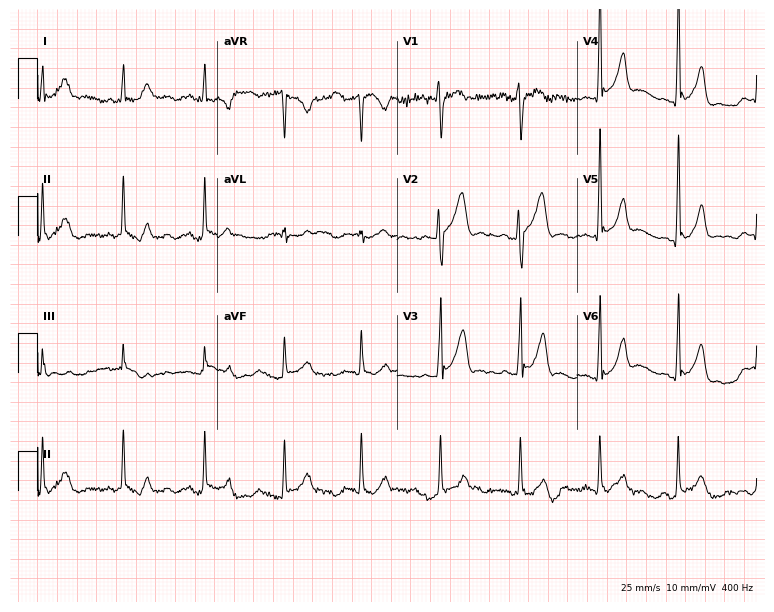
Electrocardiogram (7.3-second recording at 400 Hz), a male patient, 25 years old. Of the six screened findings (first-degree AV block, right bundle branch block, left bundle branch block, sinus bradycardia, atrial fibrillation, sinus tachycardia), none is recorded.